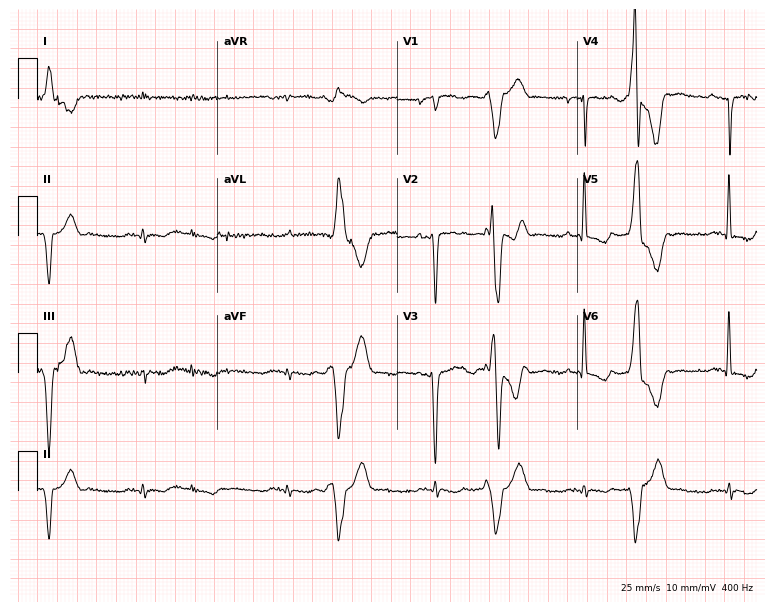
12-lead ECG from a female patient, 87 years old. Shows atrial fibrillation.